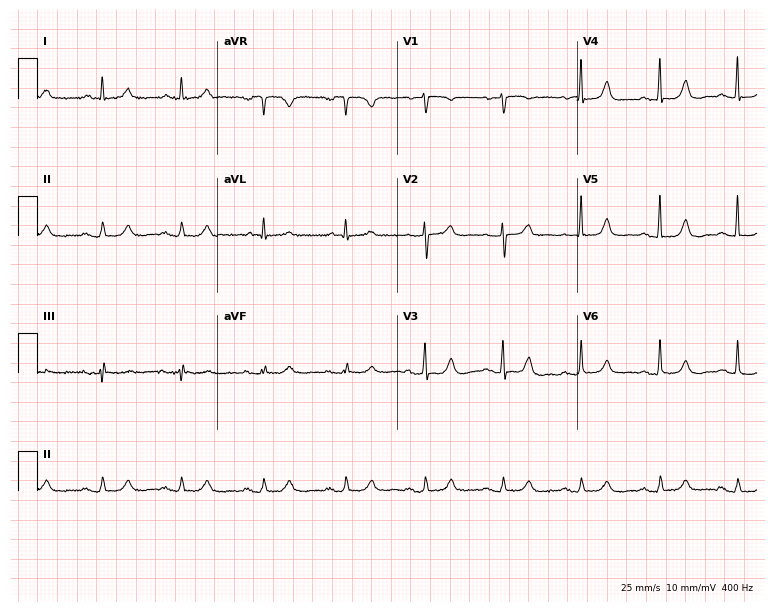
12-lead ECG from a woman, 75 years old. Screened for six findings — first-degree AV block, right bundle branch block (RBBB), left bundle branch block (LBBB), sinus bradycardia, atrial fibrillation (AF), sinus tachycardia — none is recorded. Findings outside these six are not listed.